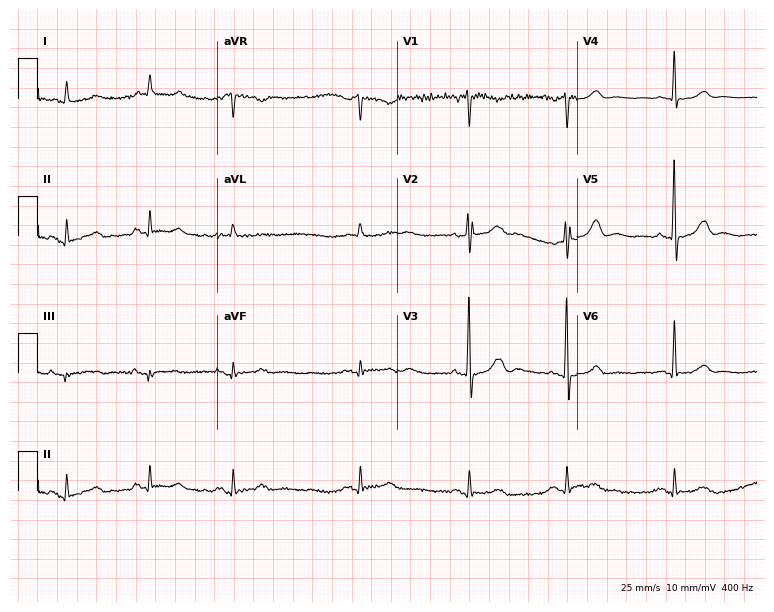
Standard 12-lead ECG recorded from a 78-year-old male (7.3-second recording at 400 Hz). None of these six findings is recorded: first-degree AV block, right bundle branch block, left bundle branch block, sinus bradycardia, atrial fibrillation, sinus tachycardia.